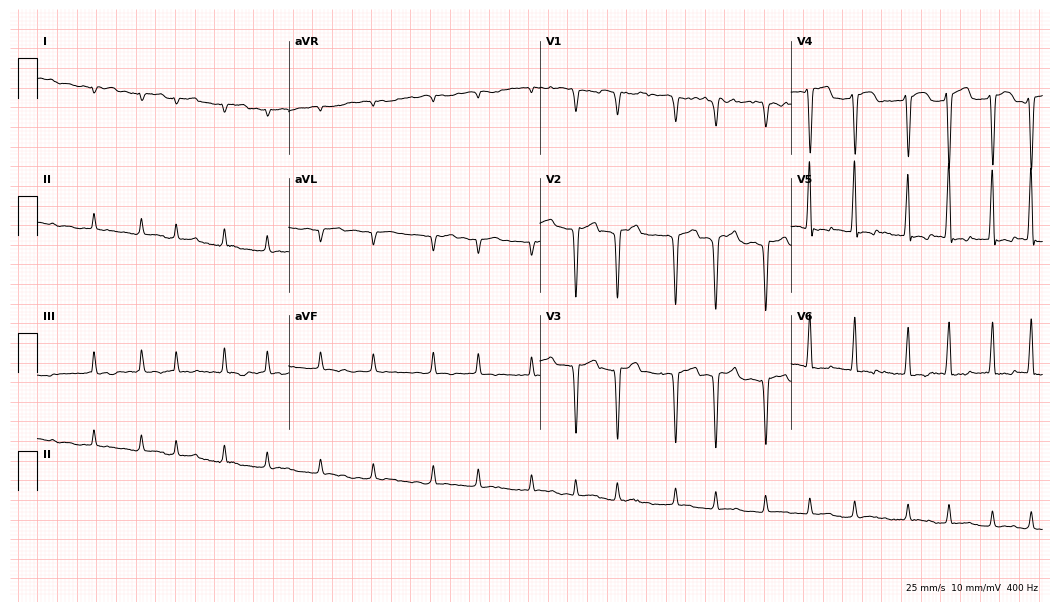
ECG (10.2-second recording at 400 Hz) — a man, 31 years old. Findings include atrial fibrillation.